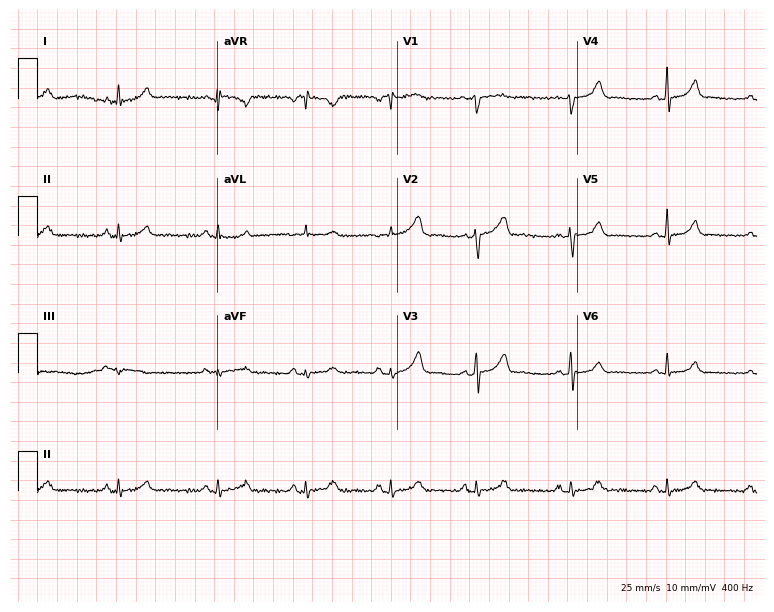
Standard 12-lead ECG recorded from a 43-year-old female patient (7.3-second recording at 400 Hz). None of these six findings is recorded: first-degree AV block, right bundle branch block (RBBB), left bundle branch block (LBBB), sinus bradycardia, atrial fibrillation (AF), sinus tachycardia.